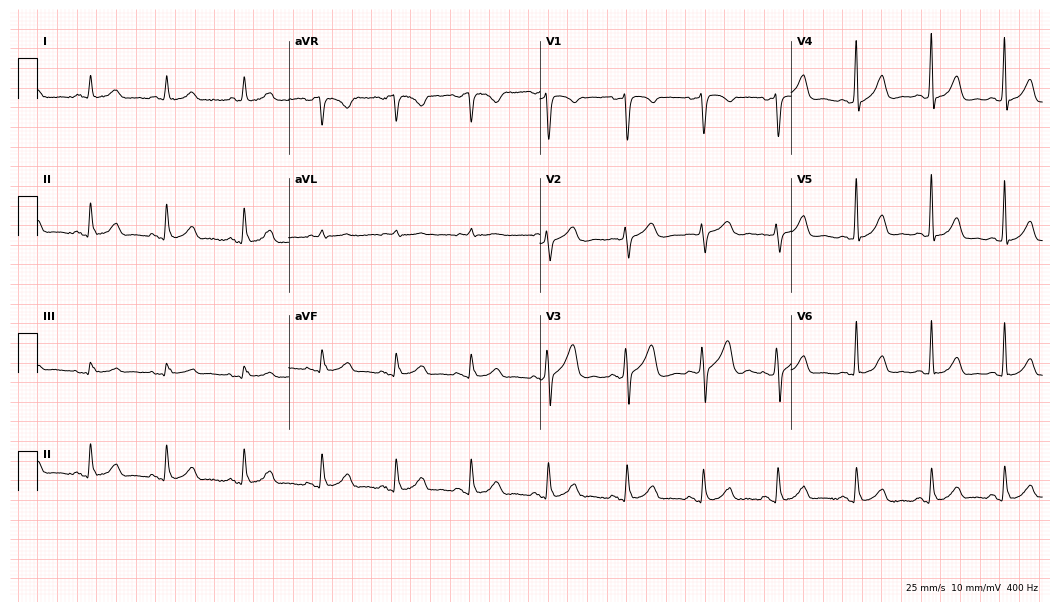
12-lead ECG from a 59-year-old female patient. Recorded interpretation: within normal limits.